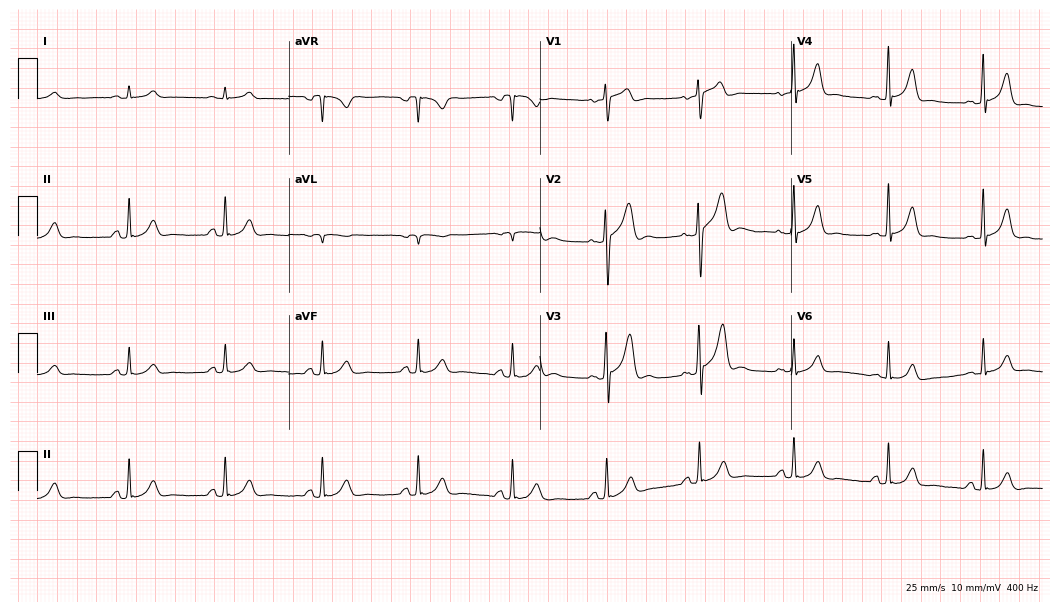
Standard 12-lead ECG recorded from a male, 37 years old. Read as a normal ECG.